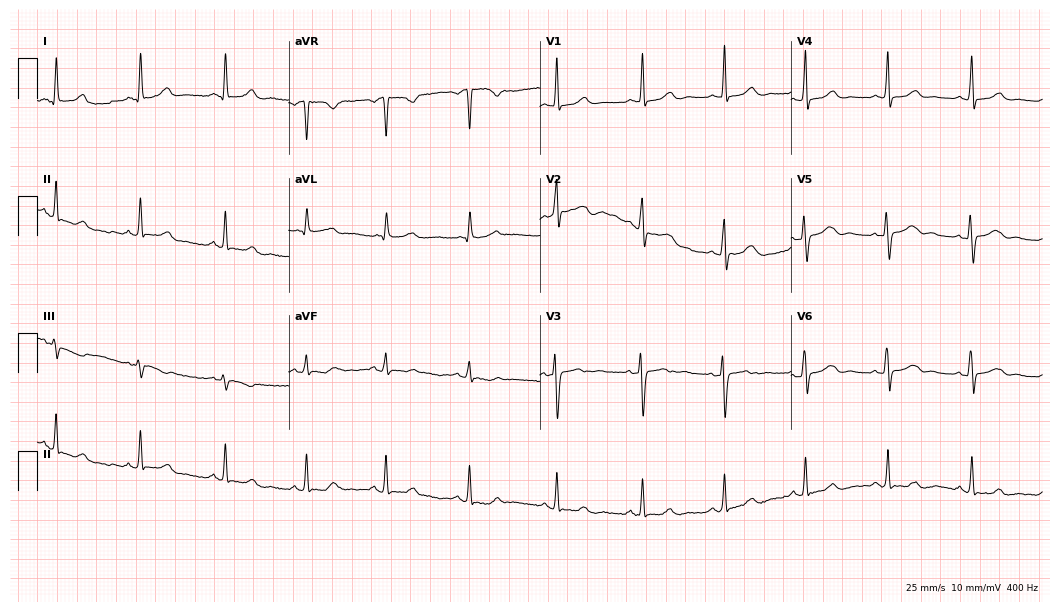
ECG — a female, 45 years old. Labelled as a normal ECG.